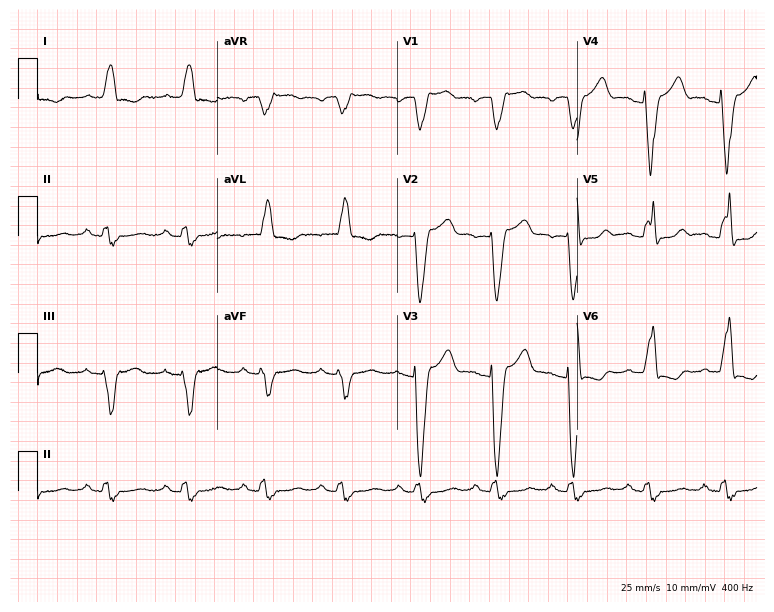
12-lead ECG (7.3-second recording at 400 Hz) from a man, 82 years old. Findings include left bundle branch block.